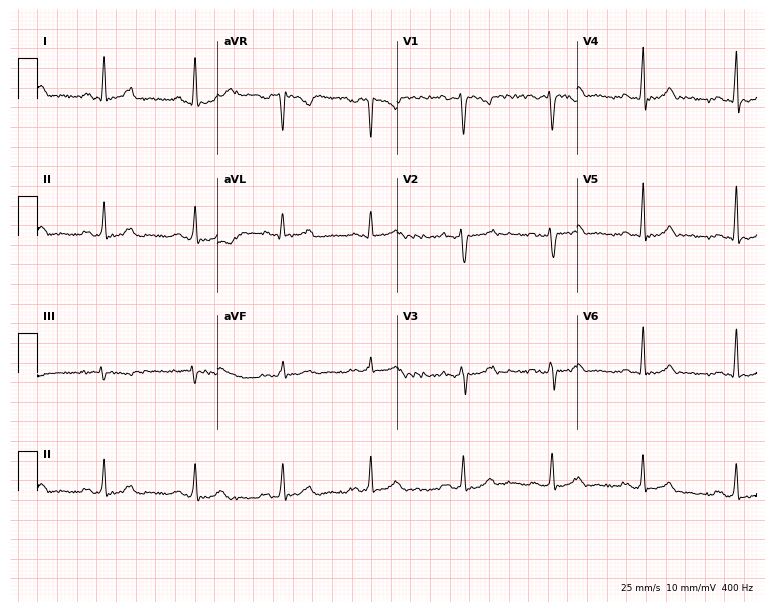
ECG (7.3-second recording at 400 Hz) — a 32-year-old woman. Screened for six findings — first-degree AV block, right bundle branch block (RBBB), left bundle branch block (LBBB), sinus bradycardia, atrial fibrillation (AF), sinus tachycardia — none is recorded.